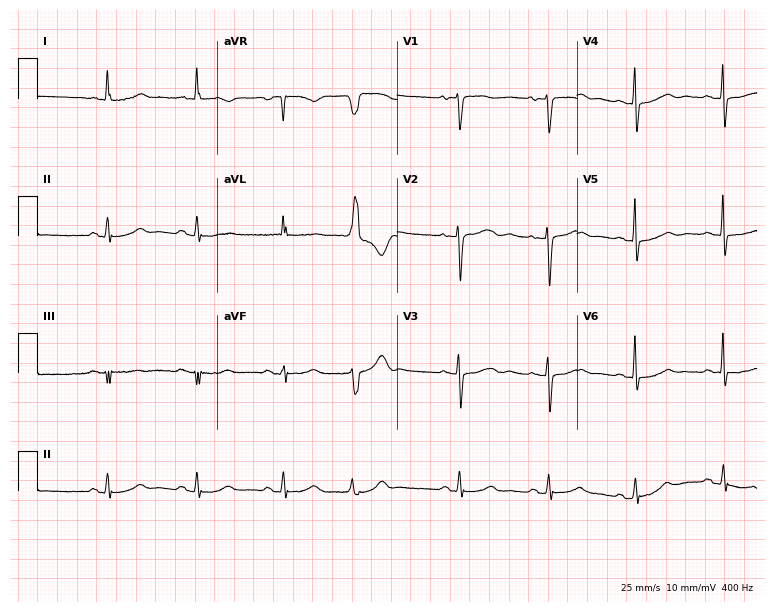
12-lead ECG from a woman, 85 years old. No first-degree AV block, right bundle branch block (RBBB), left bundle branch block (LBBB), sinus bradycardia, atrial fibrillation (AF) or sinus tachycardia recorded for this tracing.